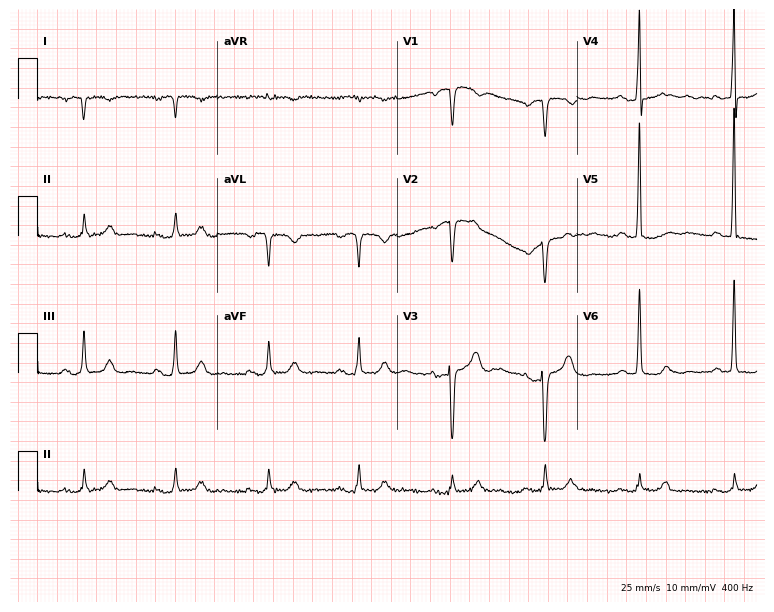
Standard 12-lead ECG recorded from an 83-year-old female patient. None of these six findings is recorded: first-degree AV block, right bundle branch block (RBBB), left bundle branch block (LBBB), sinus bradycardia, atrial fibrillation (AF), sinus tachycardia. Other findings, if any, are not listed.